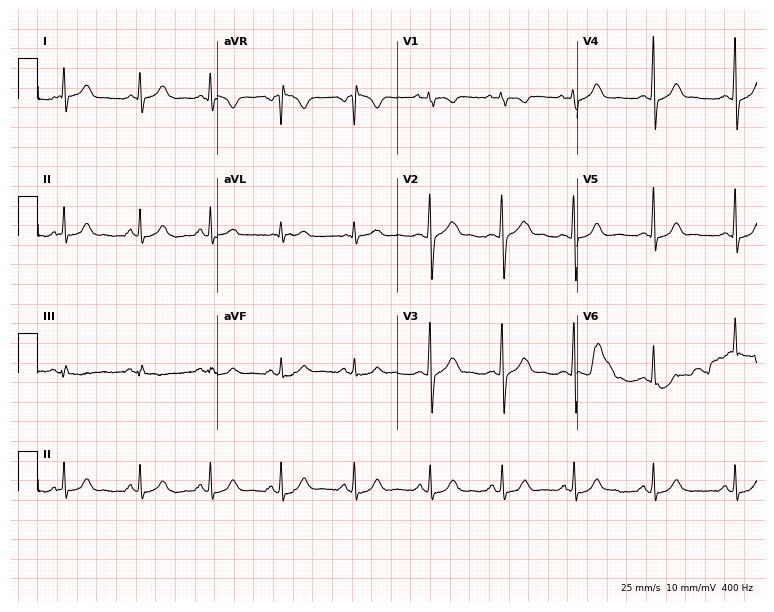
Resting 12-lead electrocardiogram (7.3-second recording at 400 Hz). Patient: a 17-year-old female. Read as a normal ECG.